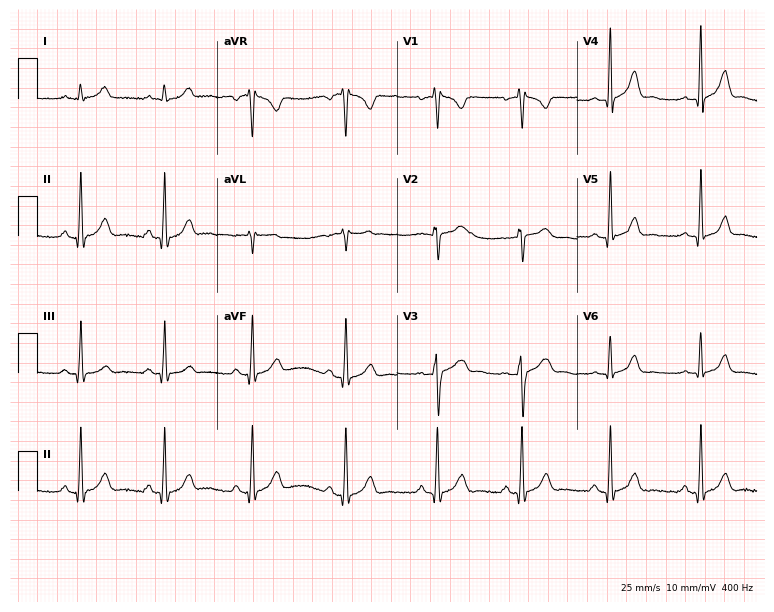
Electrocardiogram (7.3-second recording at 400 Hz), a 28-year-old woman. Overall reading on record: normal ECG.